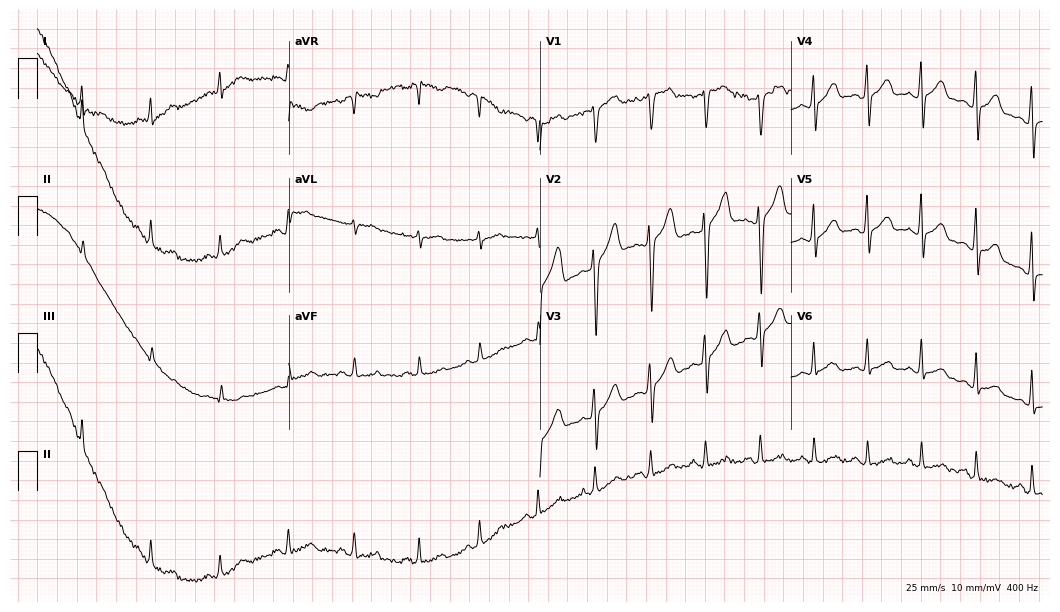
ECG — a 33-year-old male patient. Screened for six findings — first-degree AV block, right bundle branch block (RBBB), left bundle branch block (LBBB), sinus bradycardia, atrial fibrillation (AF), sinus tachycardia — none is recorded.